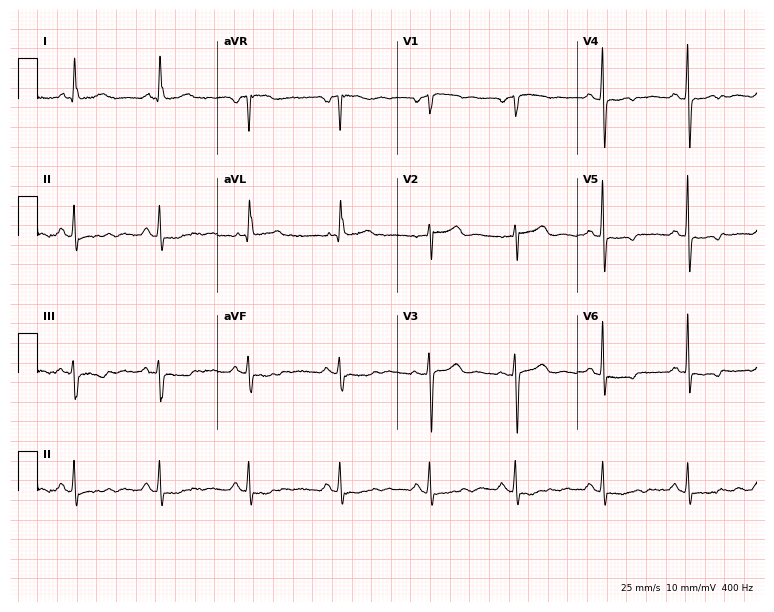
Standard 12-lead ECG recorded from a female patient, 62 years old. None of these six findings is recorded: first-degree AV block, right bundle branch block (RBBB), left bundle branch block (LBBB), sinus bradycardia, atrial fibrillation (AF), sinus tachycardia.